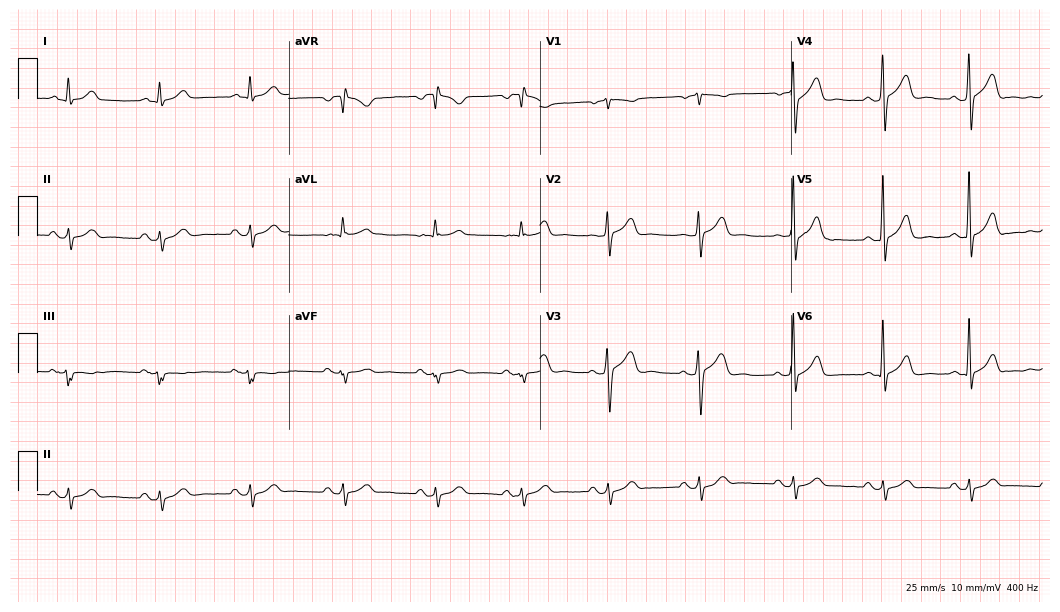
Electrocardiogram, a male, 53 years old. Of the six screened findings (first-degree AV block, right bundle branch block (RBBB), left bundle branch block (LBBB), sinus bradycardia, atrial fibrillation (AF), sinus tachycardia), none is recorded. Findings outside these six are not listed.